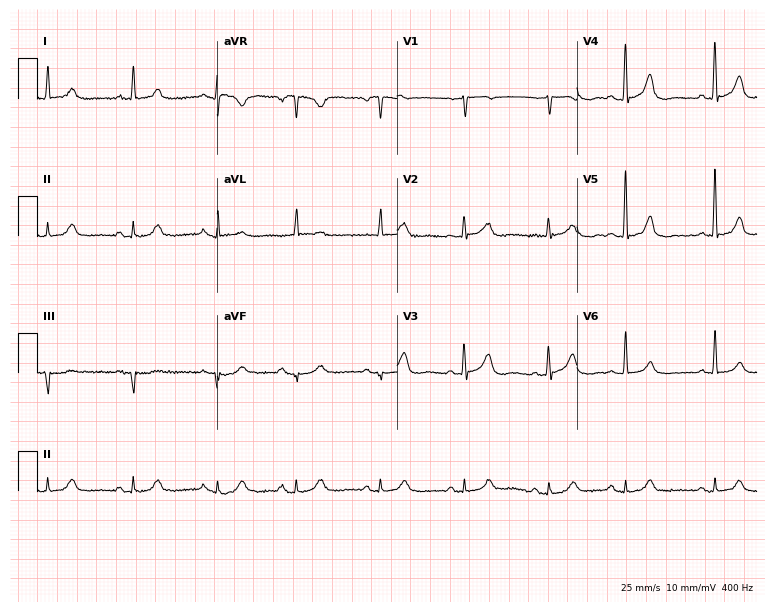
12-lead ECG (7.3-second recording at 400 Hz) from an 81-year-old male patient. Screened for six findings — first-degree AV block, right bundle branch block (RBBB), left bundle branch block (LBBB), sinus bradycardia, atrial fibrillation (AF), sinus tachycardia — none is recorded.